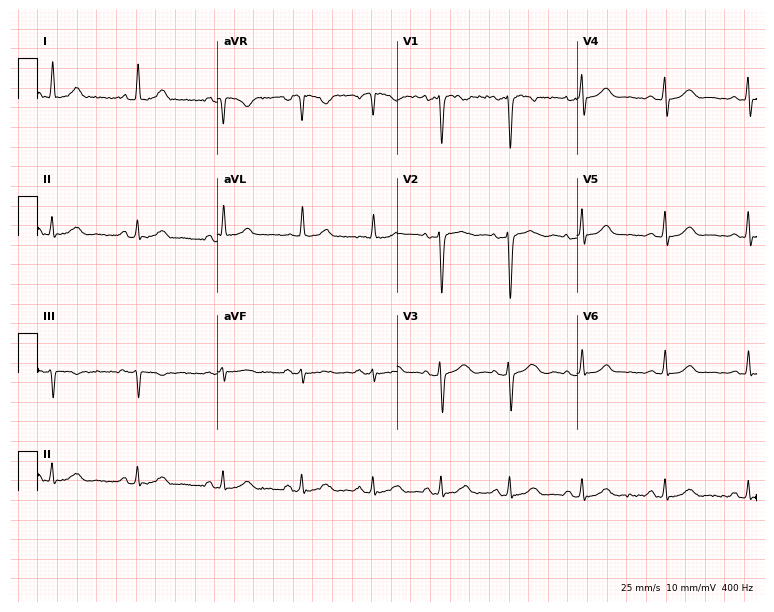
Standard 12-lead ECG recorded from a 33-year-old female. None of these six findings is recorded: first-degree AV block, right bundle branch block, left bundle branch block, sinus bradycardia, atrial fibrillation, sinus tachycardia. Only these six findings were labelled.